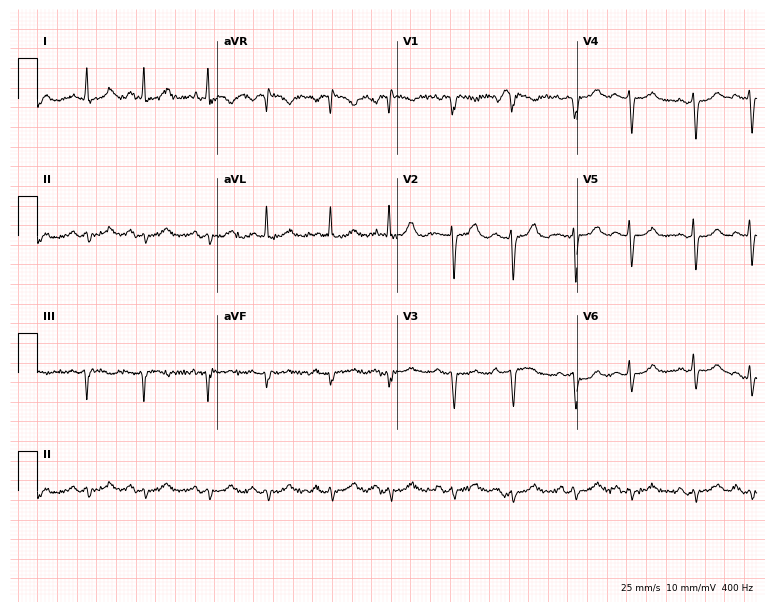
Electrocardiogram, a female, 73 years old. Of the six screened findings (first-degree AV block, right bundle branch block, left bundle branch block, sinus bradycardia, atrial fibrillation, sinus tachycardia), none is recorded.